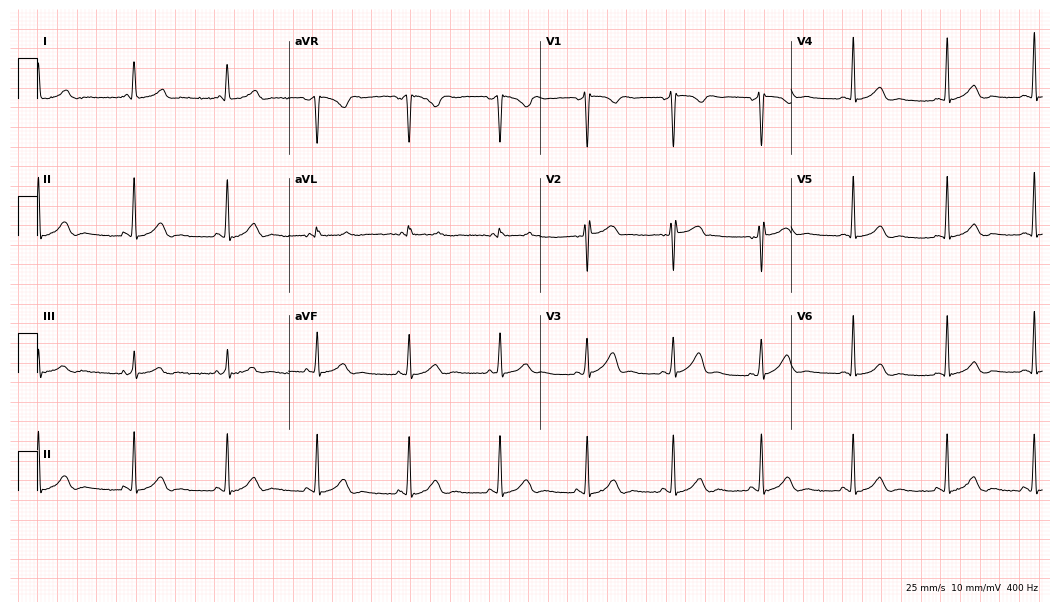
ECG — a 23-year-old female patient. Screened for six findings — first-degree AV block, right bundle branch block (RBBB), left bundle branch block (LBBB), sinus bradycardia, atrial fibrillation (AF), sinus tachycardia — none is recorded. Only these six findings were labelled.